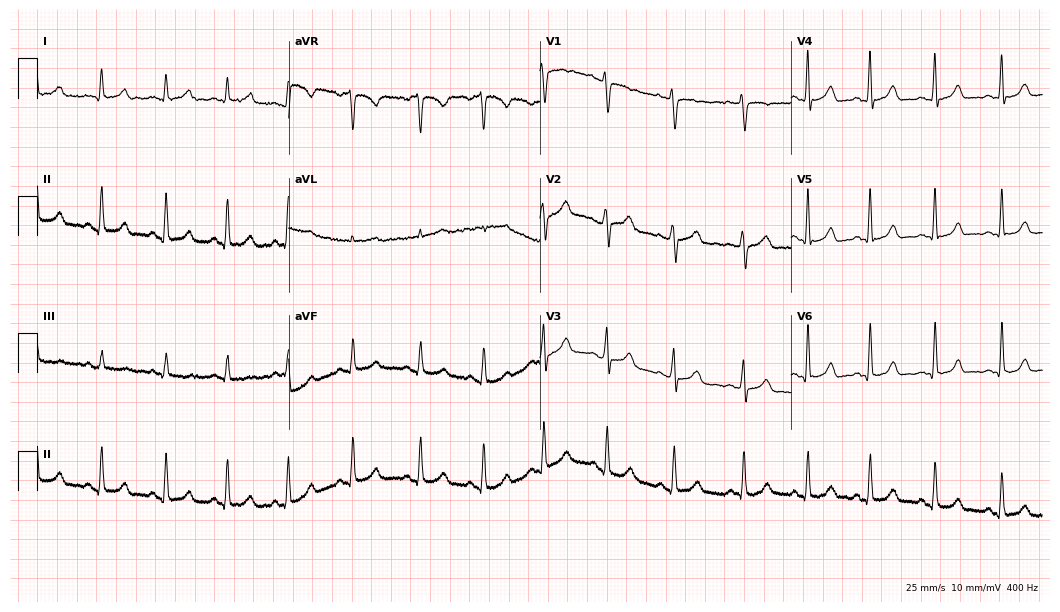
Standard 12-lead ECG recorded from a female patient, 26 years old. Read as a normal ECG.